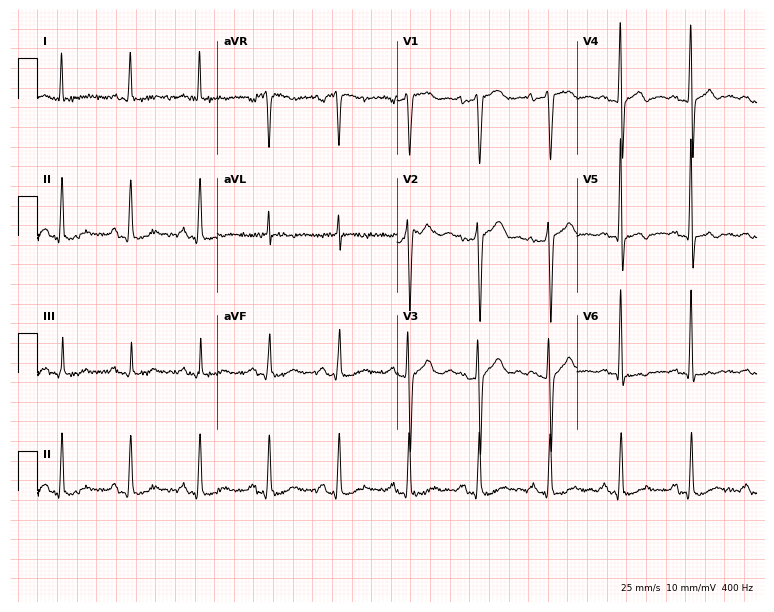
12-lead ECG (7.3-second recording at 400 Hz) from a 75-year-old man. Screened for six findings — first-degree AV block, right bundle branch block, left bundle branch block, sinus bradycardia, atrial fibrillation, sinus tachycardia — none is recorded. Findings outside these six are not listed.